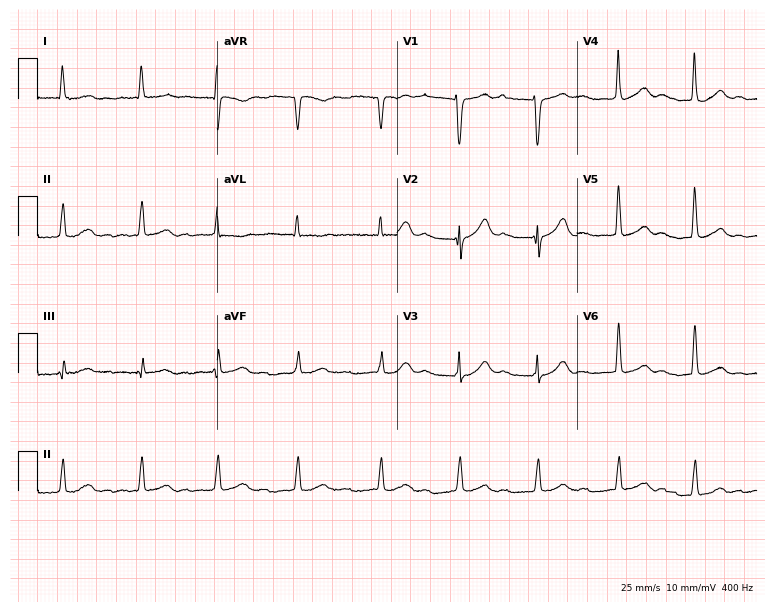
ECG — a 67-year-old female patient. Findings include first-degree AV block.